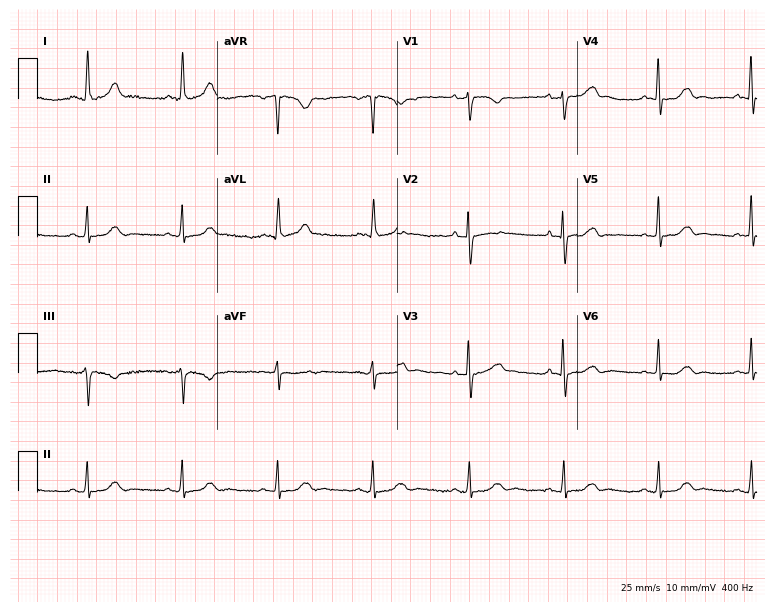
Resting 12-lead electrocardiogram (7.3-second recording at 400 Hz). Patient: a female, 58 years old. None of these six findings is recorded: first-degree AV block, right bundle branch block (RBBB), left bundle branch block (LBBB), sinus bradycardia, atrial fibrillation (AF), sinus tachycardia. Only these six findings were labelled.